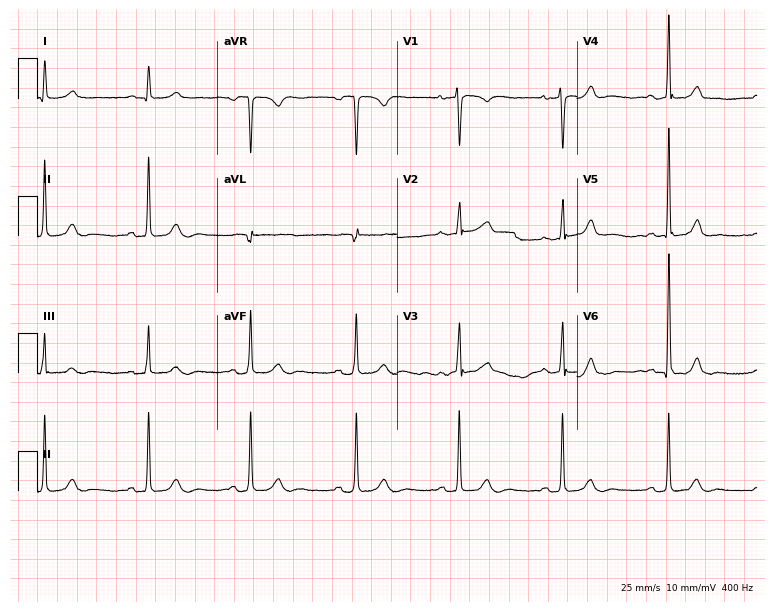
ECG — a male, 61 years old. Screened for six findings — first-degree AV block, right bundle branch block, left bundle branch block, sinus bradycardia, atrial fibrillation, sinus tachycardia — none is recorded.